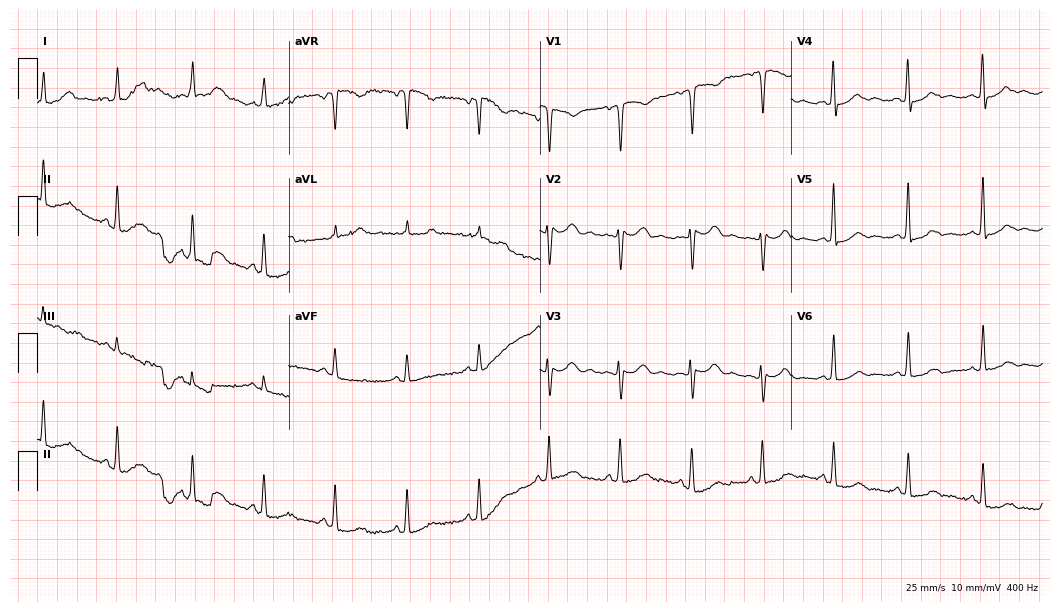
Resting 12-lead electrocardiogram (10.2-second recording at 400 Hz). Patient: a 48-year-old female. Read as a normal ECG.